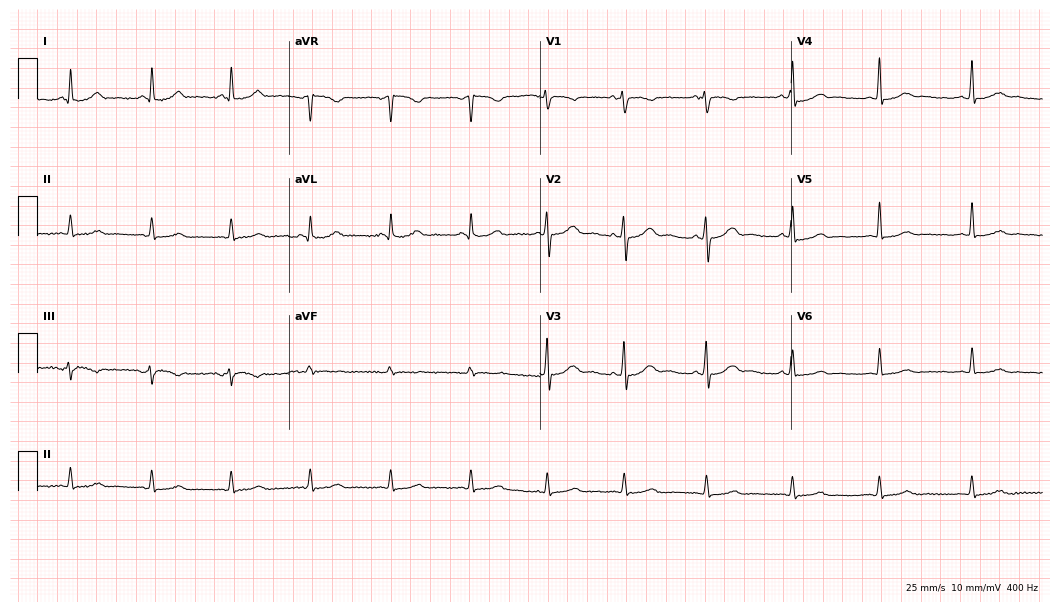
Standard 12-lead ECG recorded from a 28-year-old woman. None of these six findings is recorded: first-degree AV block, right bundle branch block, left bundle branch block, sinus bradycardia, atrial fibrillation, sinus tachycardia.